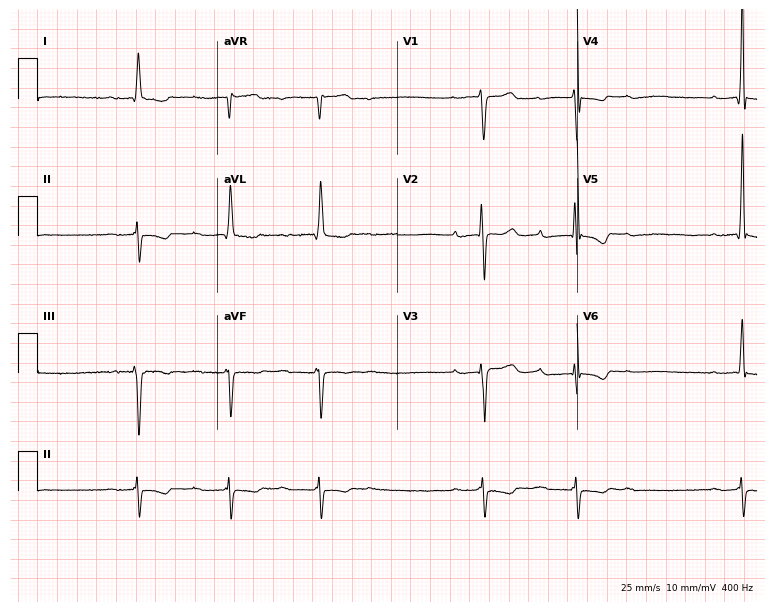
Resting 12-lead electrocardiogram (7.3-second recording at 400 Hz). Patient: a 53-year-old male. The tracing shows first-degree AV block.